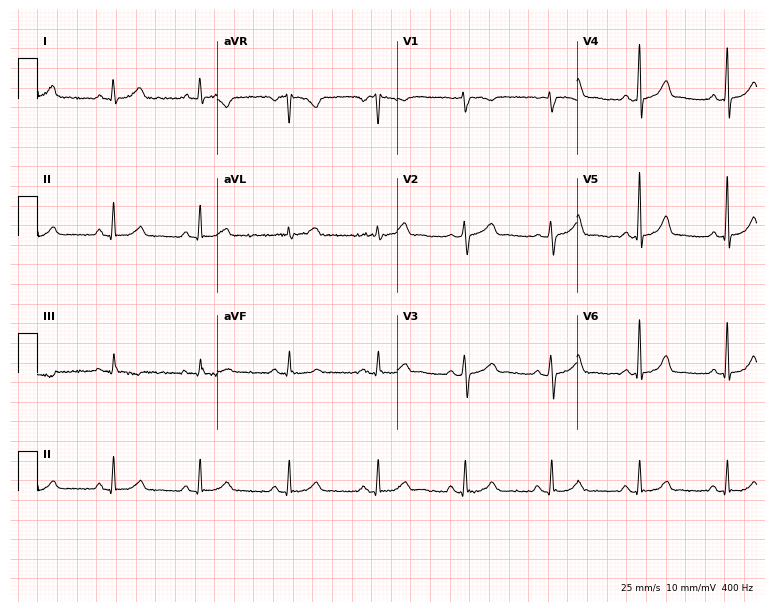
12-lead ECG from a woman, 62 years old. Recorded interpretation: within normal limits.